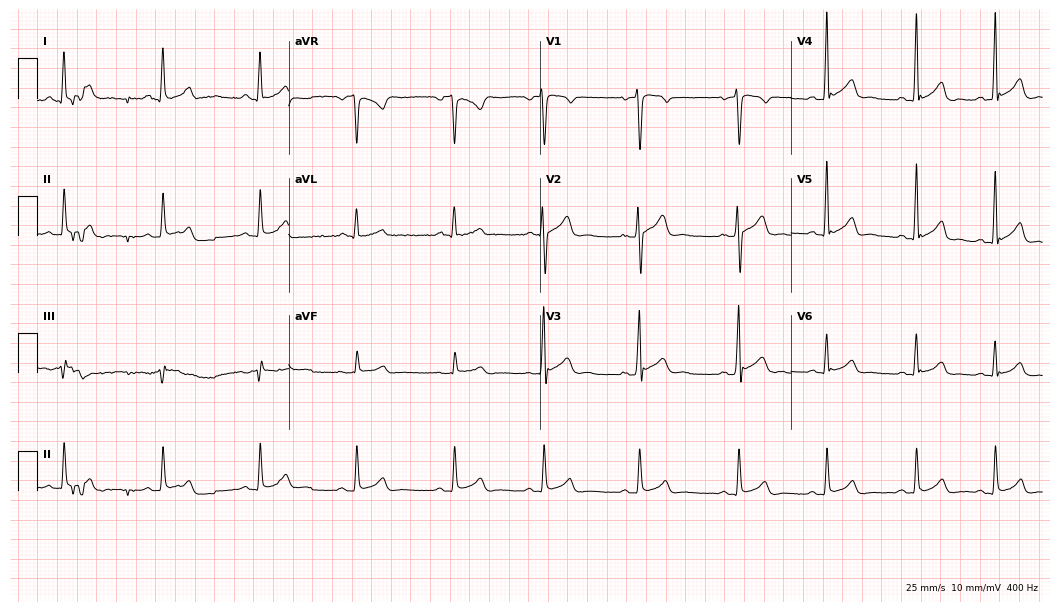
12-lead ECG from a 24-year-old man. Screened for six findings — first-degree AV block, right bundle branch block, left bundle branch block, sinus bradycardia, atrial fibrillation, sinus tachycardia — none is recorded.